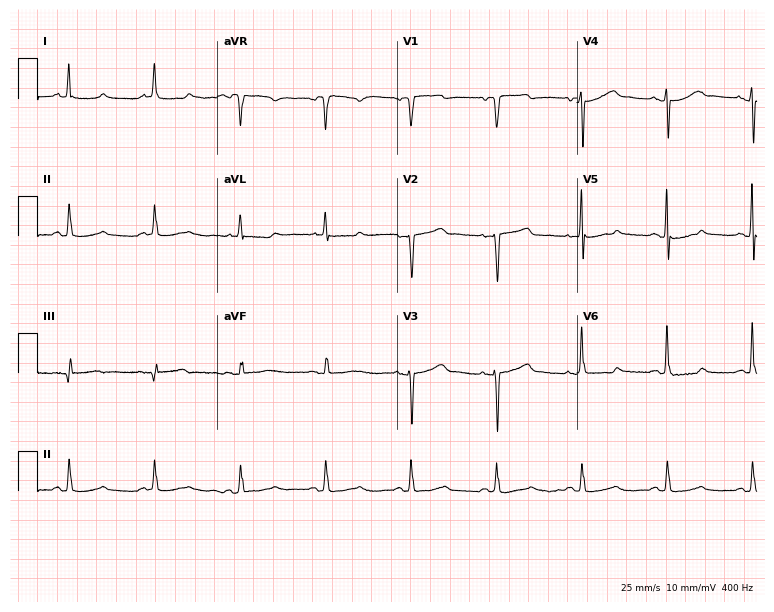
ECG (7.3-second recording at 400 Hz) — a 69-year-old man. Screened for six findings — first-degree AV block, right bundle branch block, left bundle branch block, sinus bradycardia, atrial fibrillation, sinus tachycardia — none is recorded. Findings outside these six are not listed.